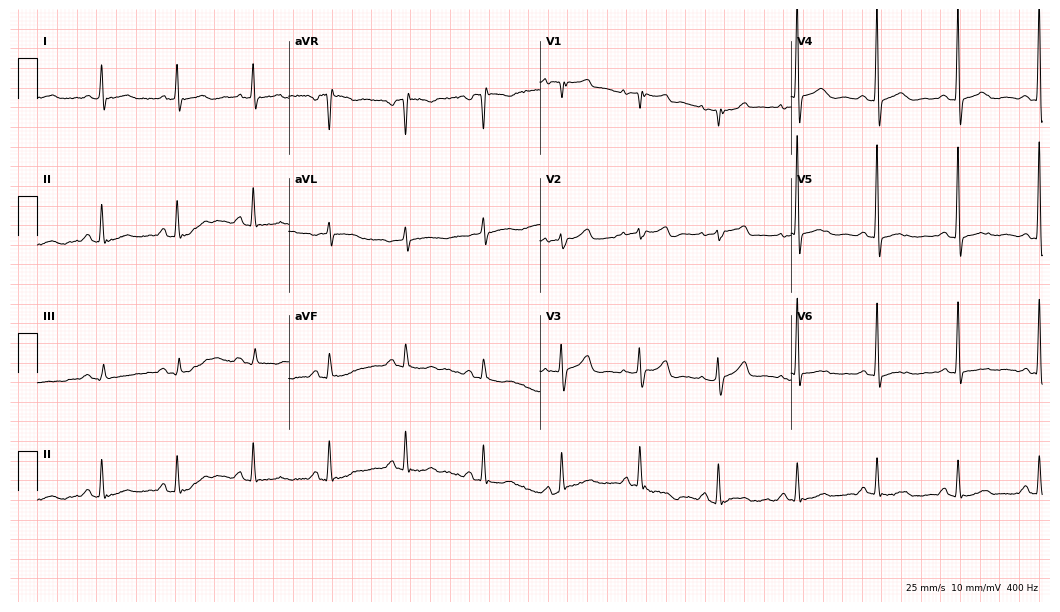
12-lead ECG from an 82-year-old female (10.2-second recording at 400 Hz). No first-degree AV block, right bundle branch block (RBBB), left bundle branch block (LBBB), sinus bradycardia, atrial fibrillation (AF) or sinus tachycardia recorded for this tracing. Other findings, if any, are not listed.